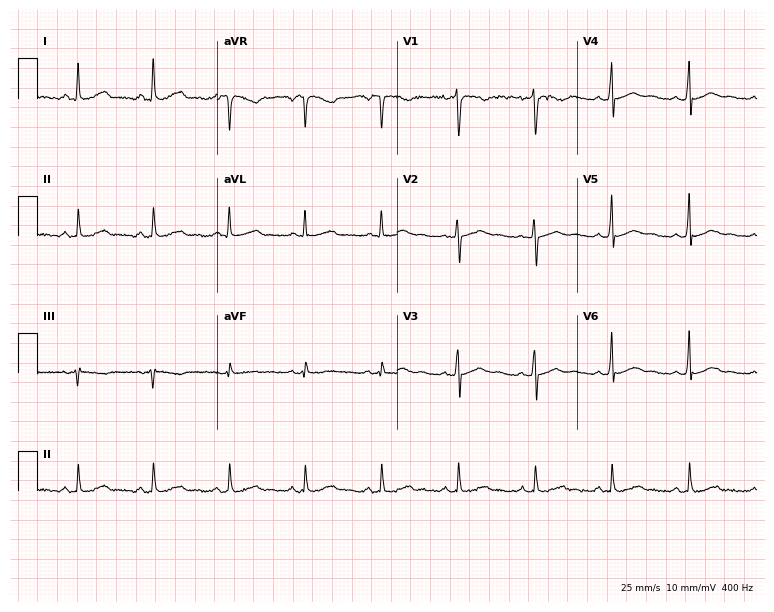
Standard 12-lead ECG recorded from a woman, 50 years old. None of these six findings is recorded: first-degree AV block, right bundle branch block, left bundle branch block, sinus bradycardia, atrial fibrillation, sinus tachycardia.